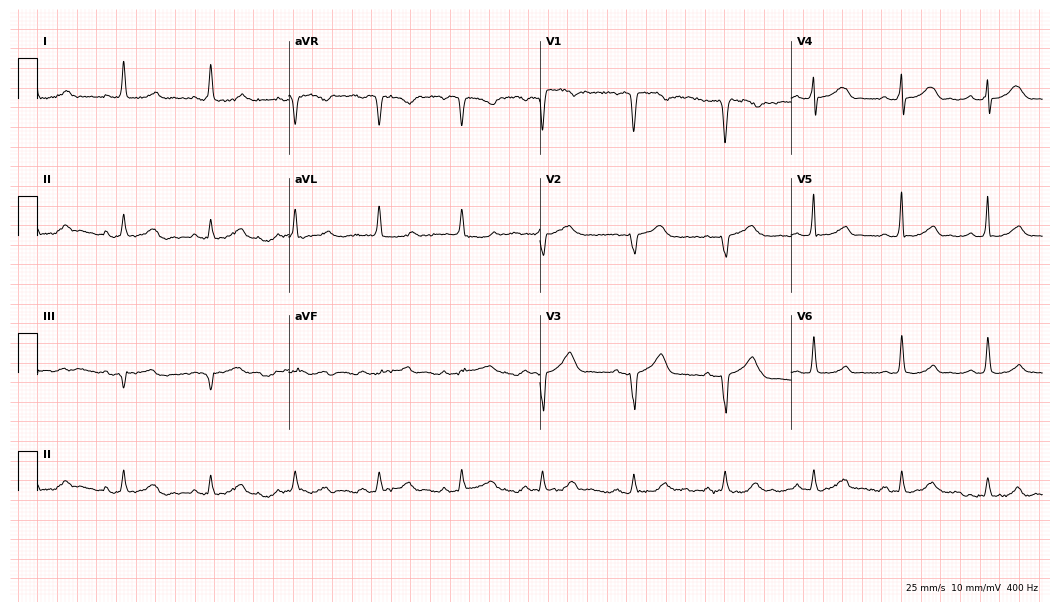
12-lead ECG (10.2-second recording at 400 Hz) from a 57-year-old male patient. Screened for six findings — first-degree AV block, right bundle branch block (RBBB), left bundle branch block (LBBB), sinus bradycardia, atrial fibrillation (AF), sinus tachycardia — none is recorded.